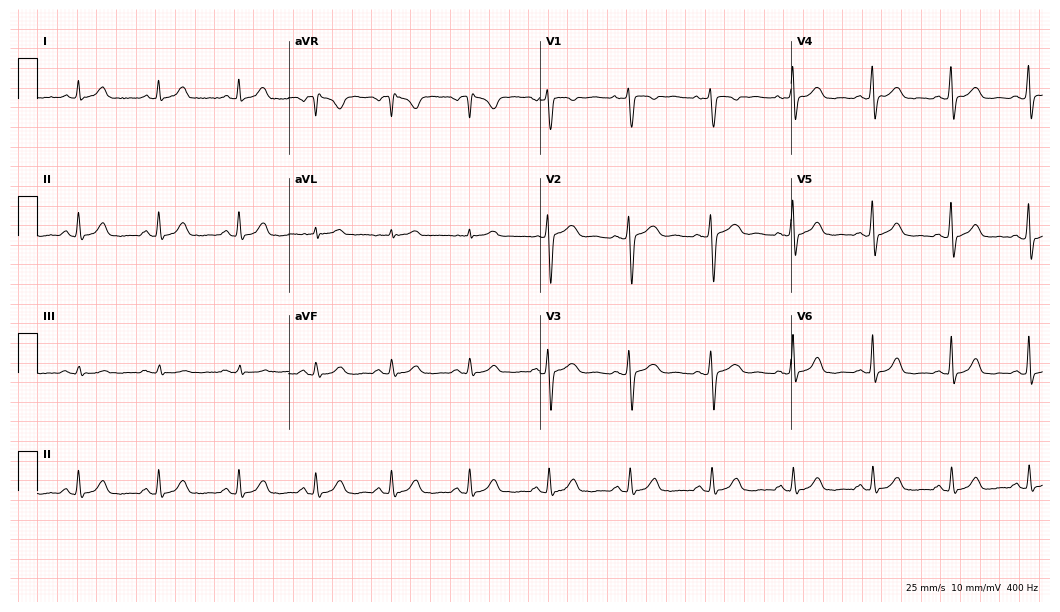
12-lead ECG from a female, 41 years old (10.2-second recording at 400 Hz). Recorded interpretation: within normal limits.